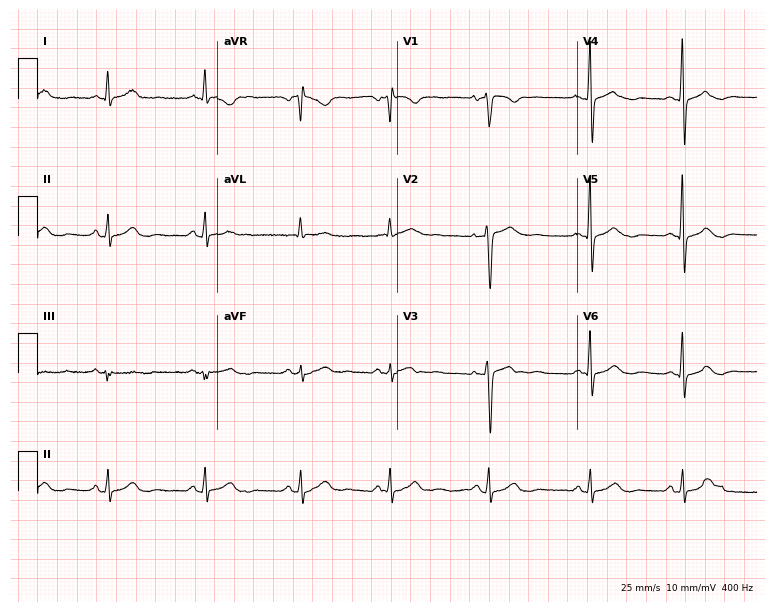
ECG (7.3-second recording at 400 Hz) — a 19-year-old woman. Labelled as a normal ECG.